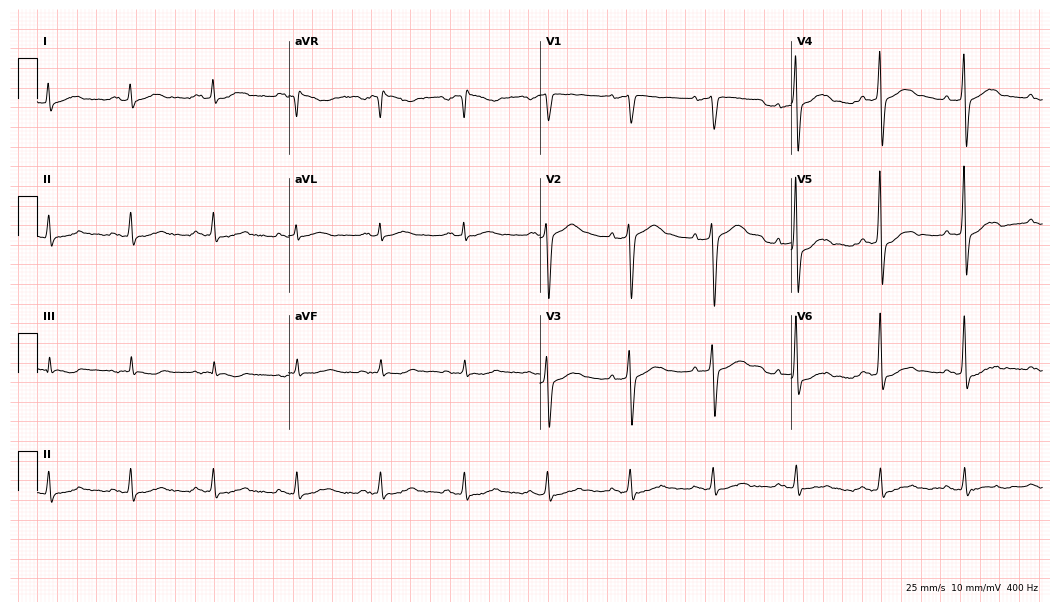
Resting 12-lead electrocardiogram (10.2-second recording at 400 Hz). Patient: a male, 81 years old. None of these six findings is recorded: first-degree AV block, right bundle branch block, left bundle branch block, sinus bradycardia, atrial fibrillation, sinus tachycardia.